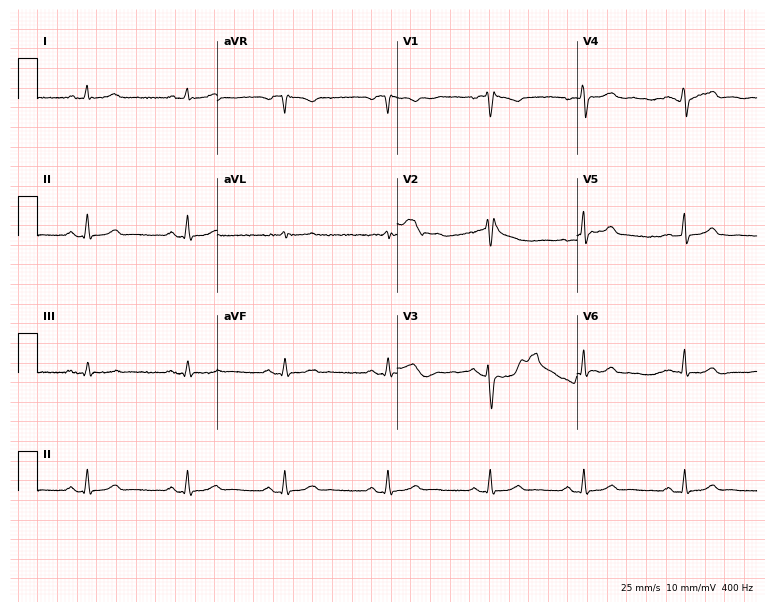
12-lead ECG from a 39-year-old female (7.3-second recording at 400 Hz). No first-degree AV block, right bundle branch block, left bundle branch block, sinus bradycardia, atrial fibrillation or sinus tachycardia recorded for this tracing. Only these six findings were labelled.